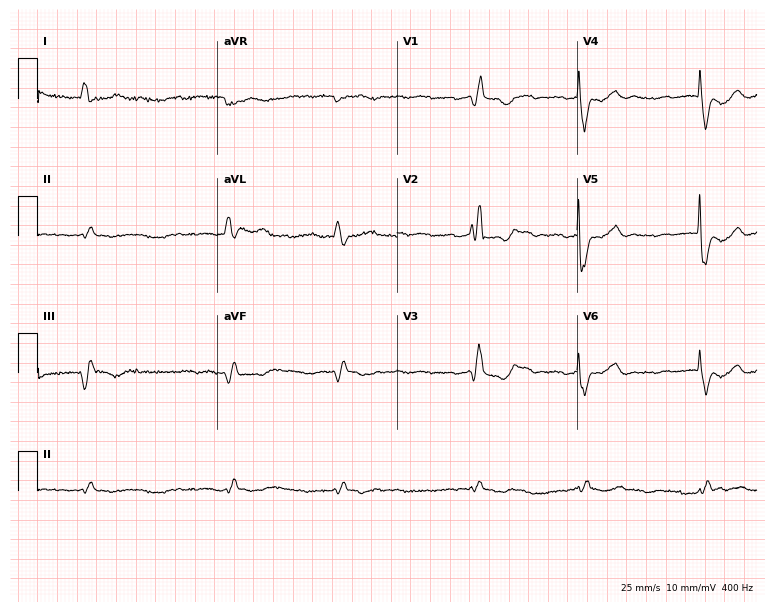
12-lead ECG from a man, 74 years old. Findings include right bundle branch block (RBBB), atrial fibrillation (AF).